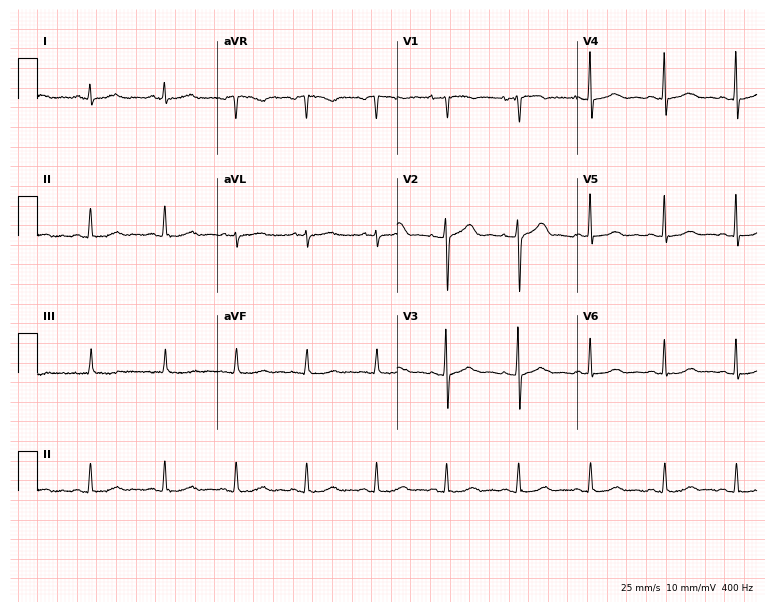
12-lead ECG from a 68-year-old male (7.3-second recording at 400 Hz). No first-degree AV block, right bundle branch block, left bundle branch block, sinus bradycardia, atrial fibrillation or sinus tachycardia recorded for this tracing.